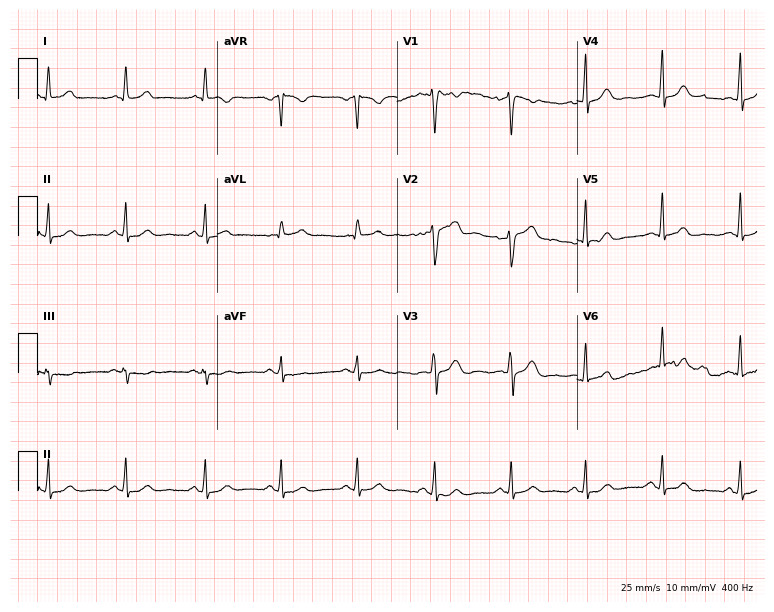
12-lead ECG from a 35-year-old woman (7.3-second recording at 400 Hz). No first-degree AV block, right bundle branch block, left bundle branch block, sinus bradycardia, atrial fibrillation or sinus tachycardia recorded for this tracing.